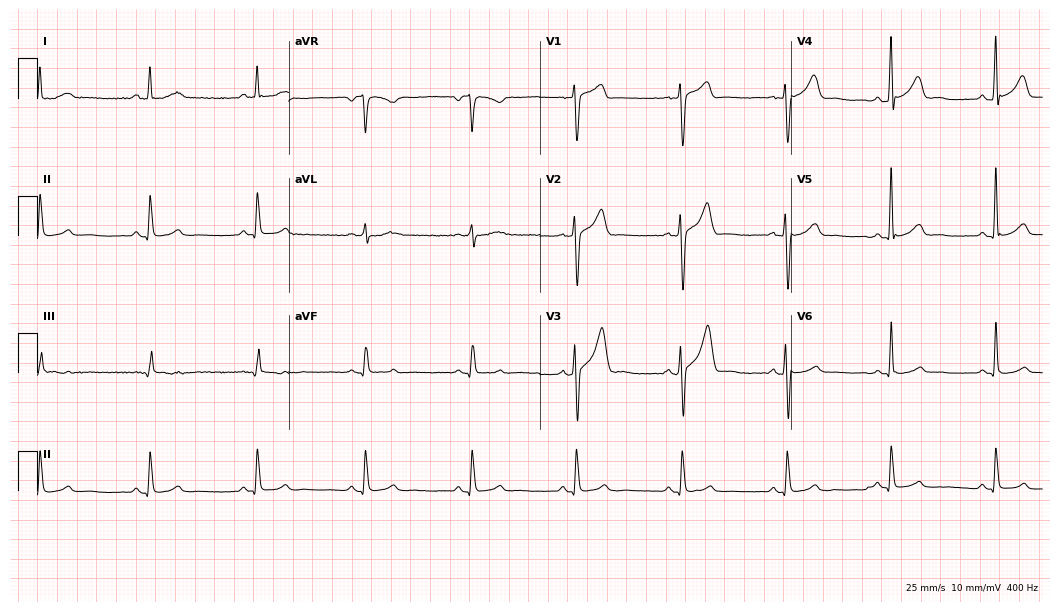
Electrocardiogram, a man, 43 years old. Of the six screened findings (first-degree AV block, right bundle branch block (RBBB), left bundle branch block (LBBB), sinus bradycardia, atrial fibrillation (AF), sinus tachycardia), none is recorded. Findings outside these six are not listed.